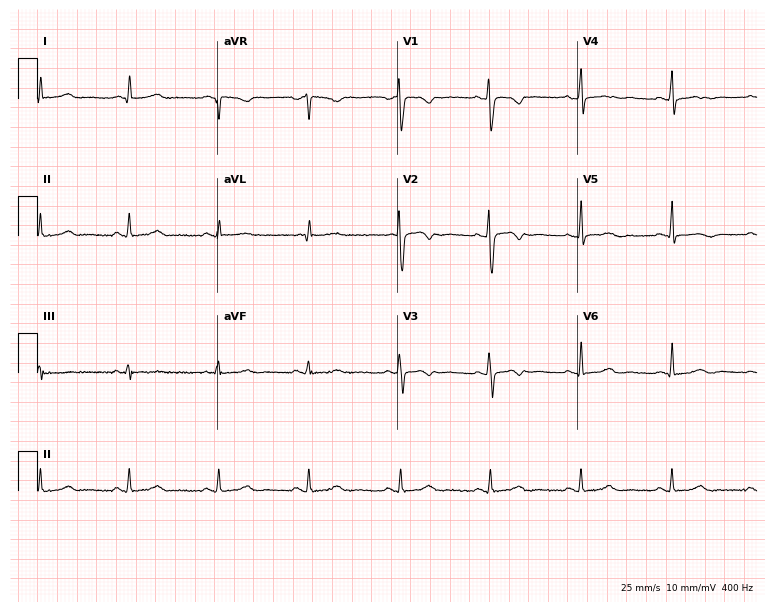
Standard 12-lead ECG recorded from a 40-year-old woman. None of these six findings is recorded: first-degree AV block, right bundle branch block, left bundle branch block, sinus bradycardia, atrial fibrillation, sinus tachycardia. Other findings, if any, are not listed.